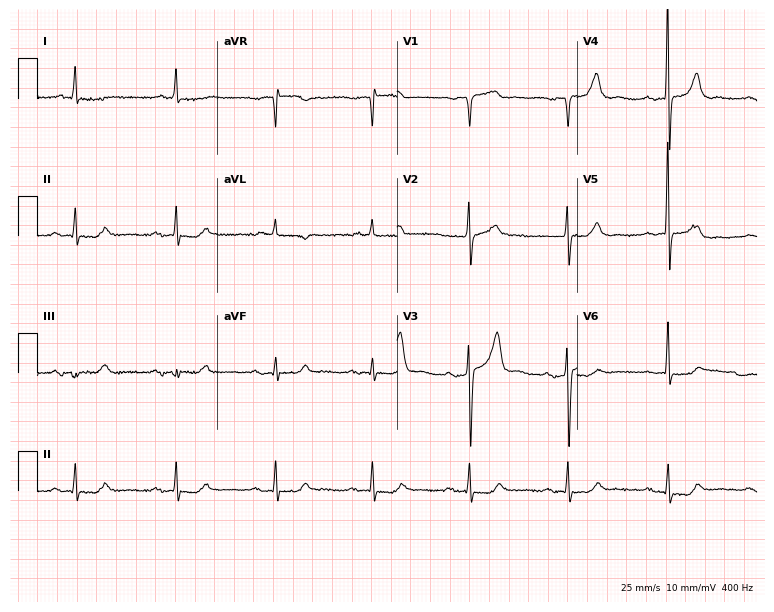
Electrocardiogram (7.3-second recording at 400 Hz), a 72-year-old woman. Of the six screened findings (first-degree AV block, right bundle branch block, left bundle branch block, sinus bradycardia, atrial fibrillation, sinus tachycardia), none is recorded.